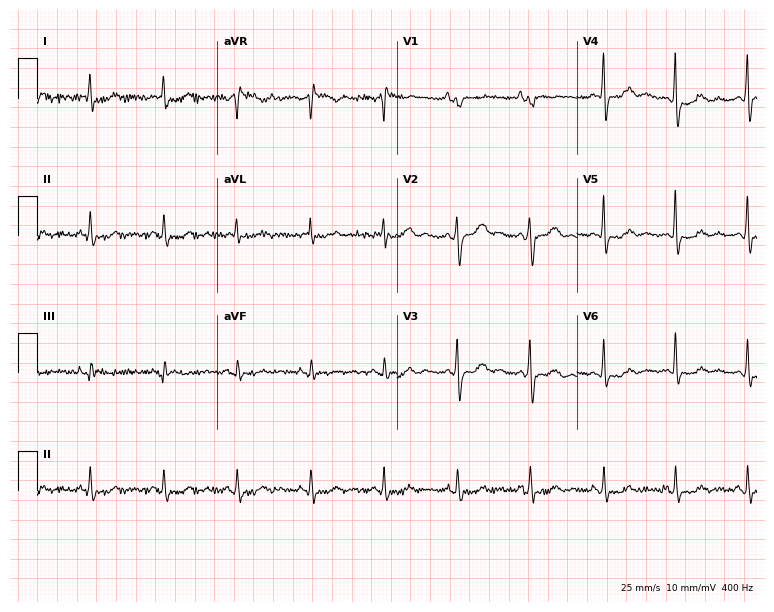
Resting 12-lead electrocardiogram. Patient: a 77-year-old female. None of these six findings is recorded: first-degree AV block, right bundle branch block (RBBB), left bundle branch block (LBBB), sinus bradycardia, atrial fibrillation (AF), sinus tachycardia. Only these six findings were labelled.